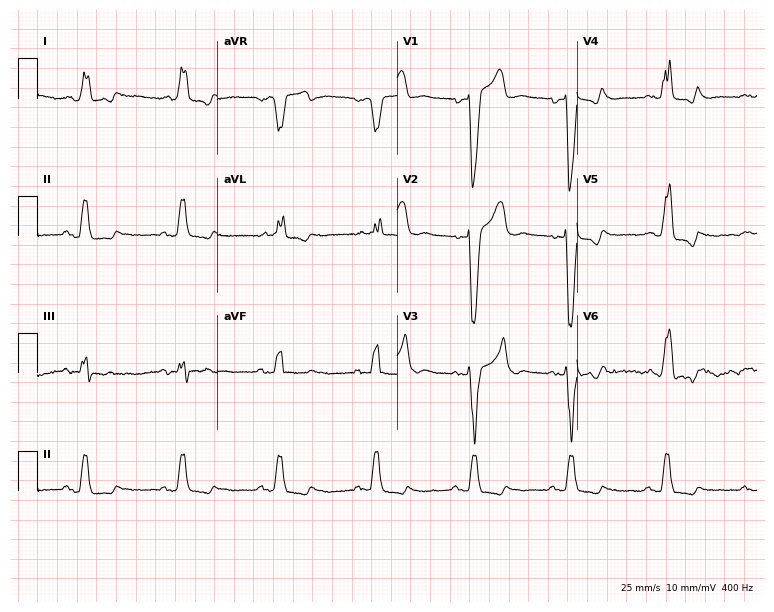
Standard 12-lead ECG recorded from a 69-year-old man (7.3-second recording at 400 Hz). The tracing shows left bundle branch block (LBBB).